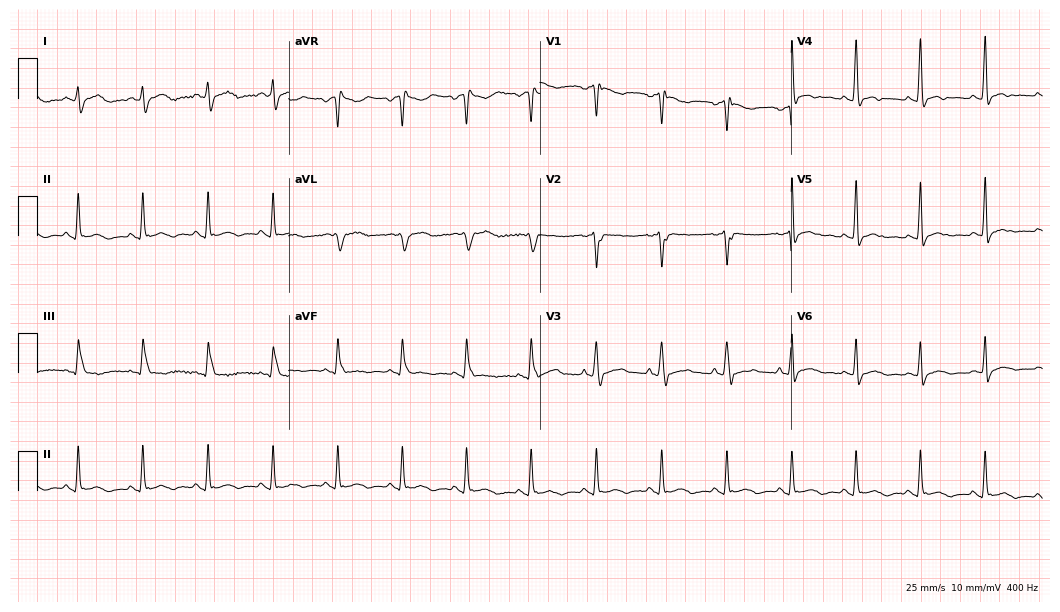
12-lead ECG (10.2-second recording at 400 Hz) from a male, 44 years old. Screened for six findings — first-degree AV block, right bundle branch block, left bundle branch block, sinus bradycardia, atrial fibrillation, sinus tachycardia — none is recorded. Findings outside these six are not listed.